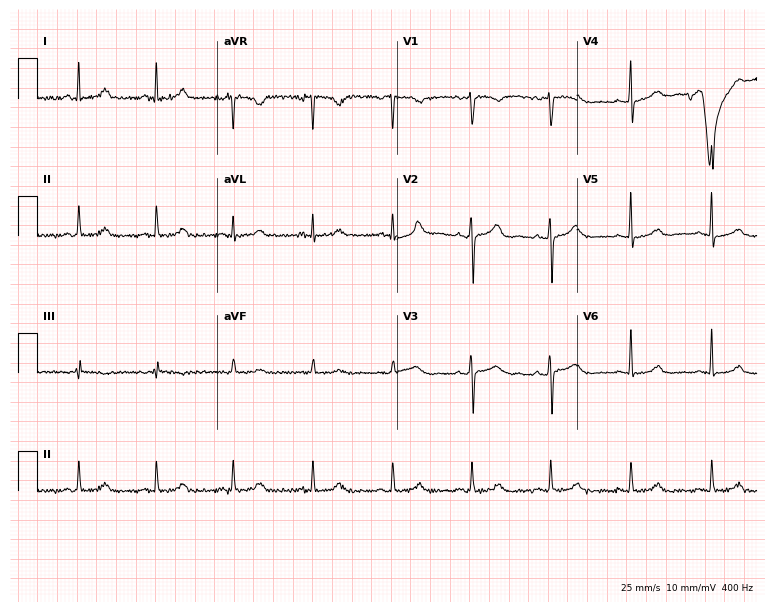
Electrocardiogram (7.3-second recording at 400 Hz), a 39-year-old female patient. Overall reading on record: normal ECG.